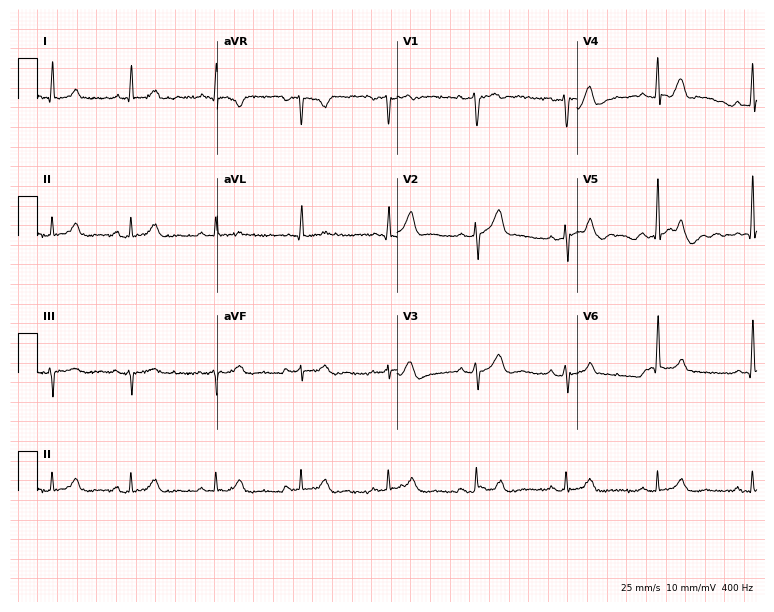
Electrocardiogram (7.3-second recording at 400 Hz), a male patient, 77 years old. Overall reading on record: normal ECG.